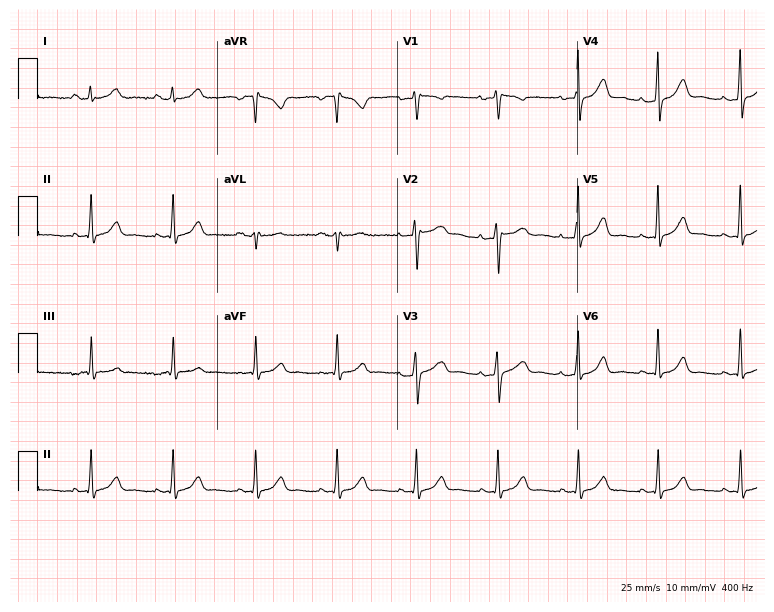
ECG — a female, 38 years old. Labelled as a normal ECG.